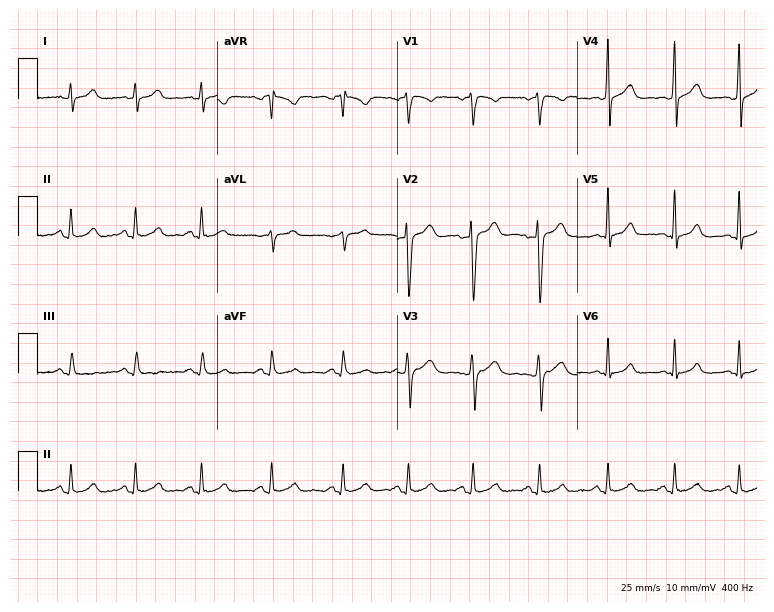
ECG — a man, 23 years old. Labelled as a normal ECG.